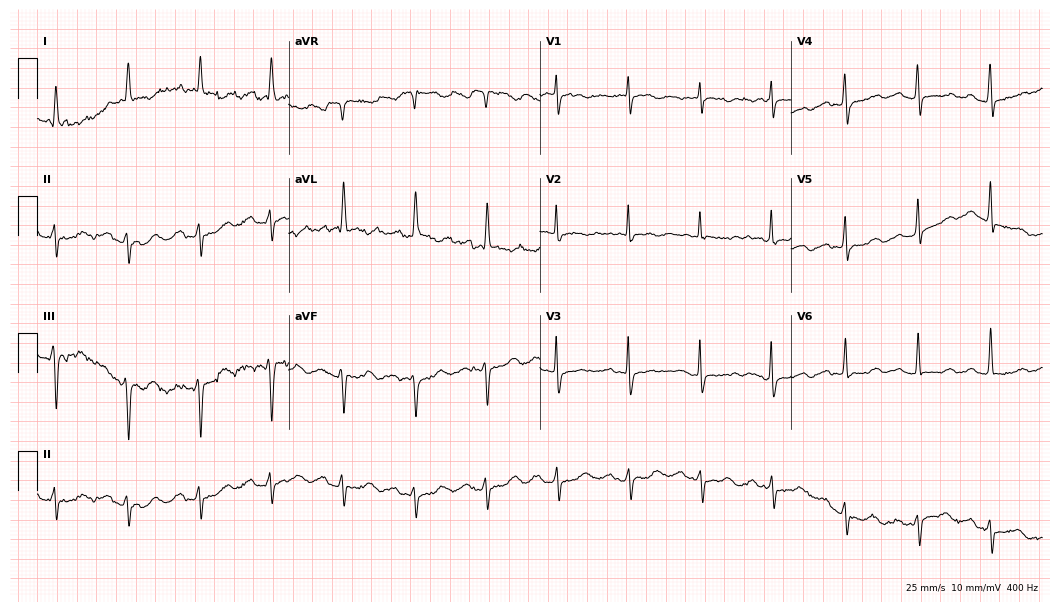
Standard 12-lead ECG recorded from an 85-year-old female patient. None of these six findings is recorded: first-degree AV block, right bundle branch block, left bundle branch block, sinus bradycardia, atrial fibrillation, sinus tachycardia.